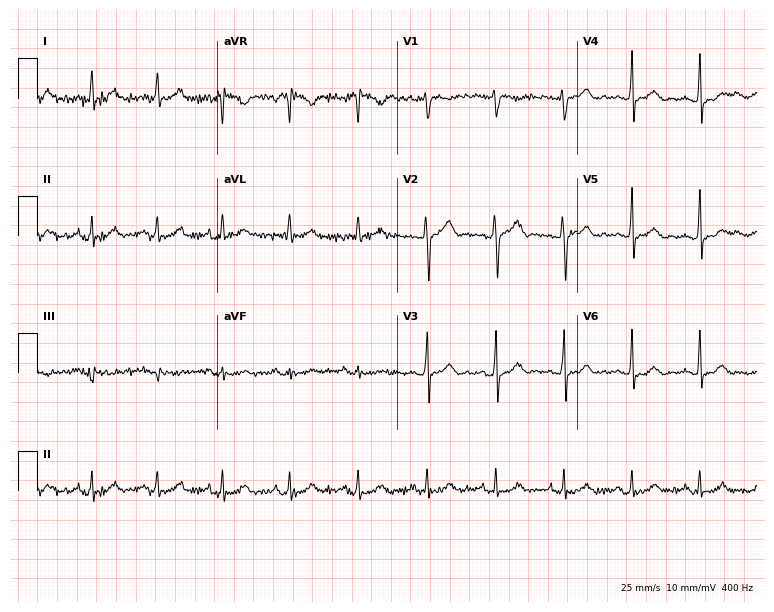
Resting 12-lead electrocardiogram. Patient: a 37-year-old man. Read as a normal ECG.